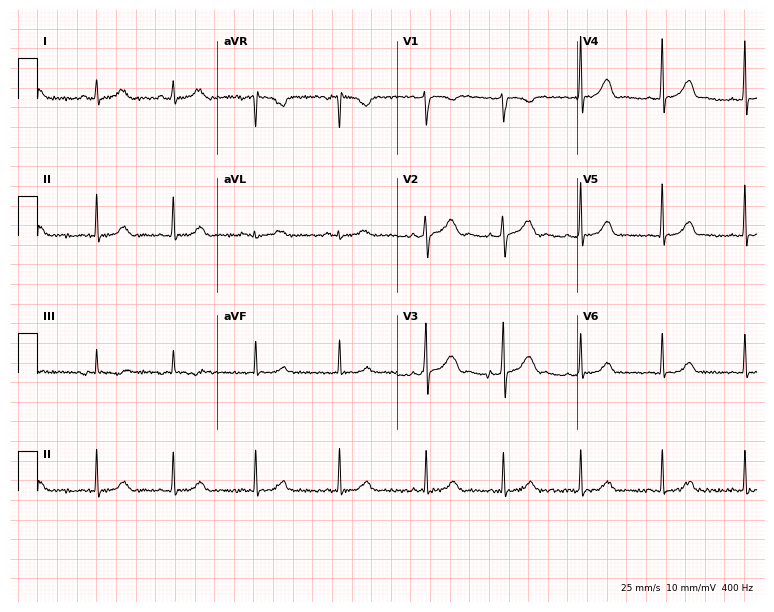
12-lead ECG from a female, 23 years old. Screened for six findings — first-degree AV block, right bundle branch block (RBBB), left bundle branch block (LBBB), sinus bradycardia, atrial fibrillation (AF), sinus tachycardia — none is recorded. Other findings, if any, are not listed.